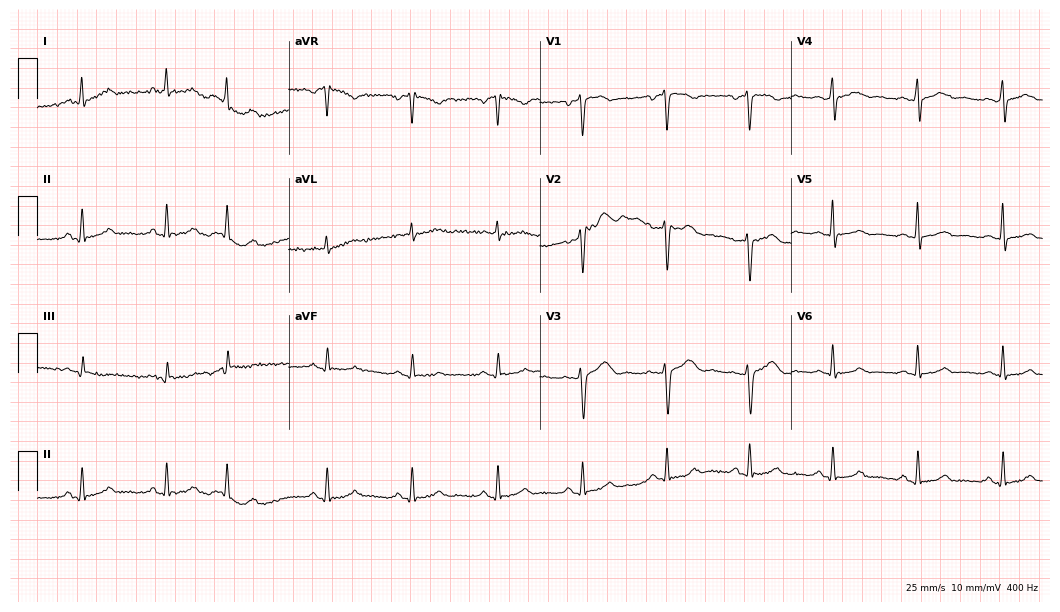
12-lead ECG from a 43-year-old woman. Recorded interpretation: within normal limits.